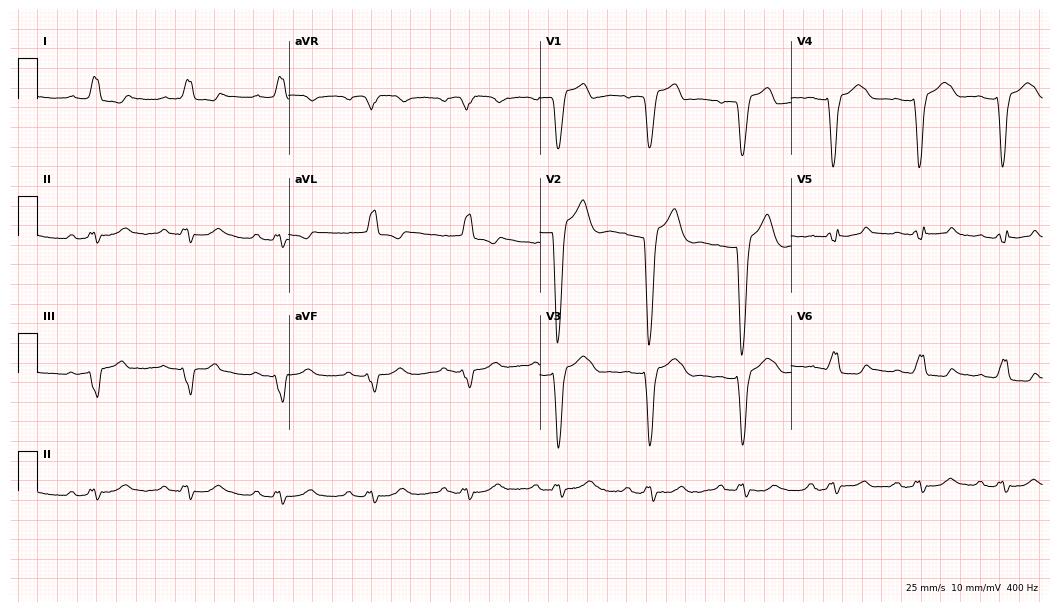
Resting 12-lead electrocardiogram (10.2-second recording at 400 Hz). Patient: a male, 63 years old. The tracing shows first-degree AV block, left bundle branch block (LBBB).